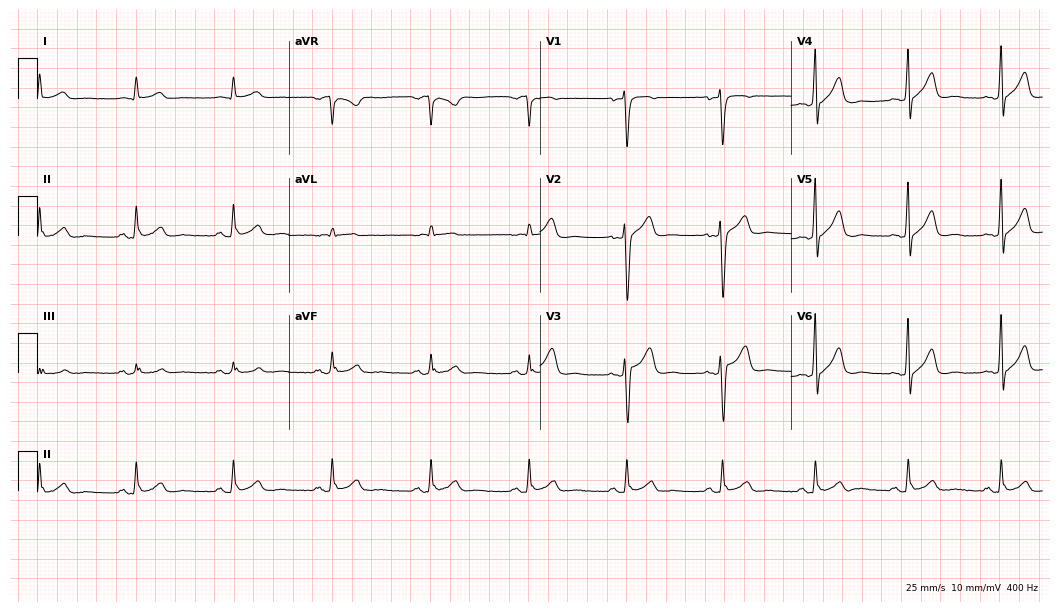
ECG — a male patient, 40 years old. Labelled as a normal ECG.